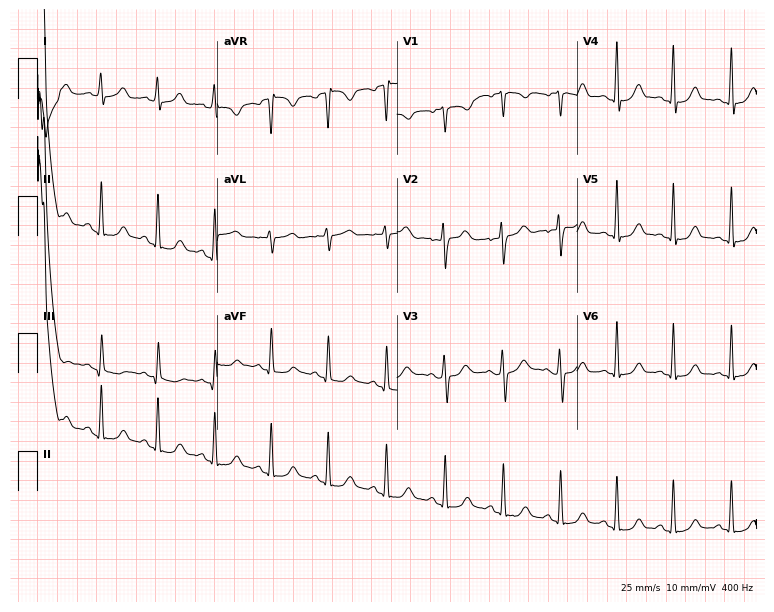
ECG (7.3-second recording at 400 Hz) — a female patient, 18 years old. Screened for six findings — first-degree AV block, right bundle branch block (RBBB), left bundle branch block (LBBB), sinus bradycardia, atrial fibrillation (AF), sinus tachycardia — none is recorded.